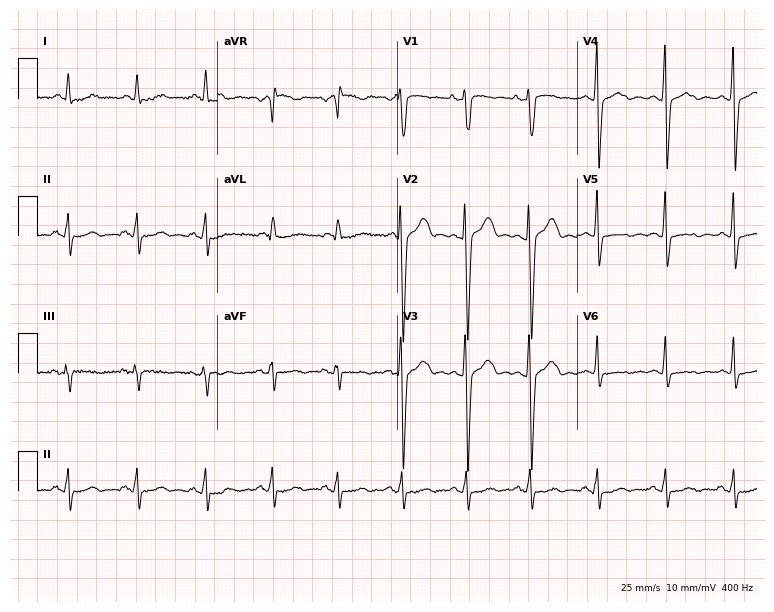
Electrocardiogram (7.3-second recording at 400 Hz), a male patient, 49 years old. Of the six screened findings (first-degree AV block, right bundle branch block (RBBB), left bundle branch block (LBBB), sinus bradycardia, atrial fibrillation (AF), sinus tachycardia), none is recorded. Findings outside these six are not listed.